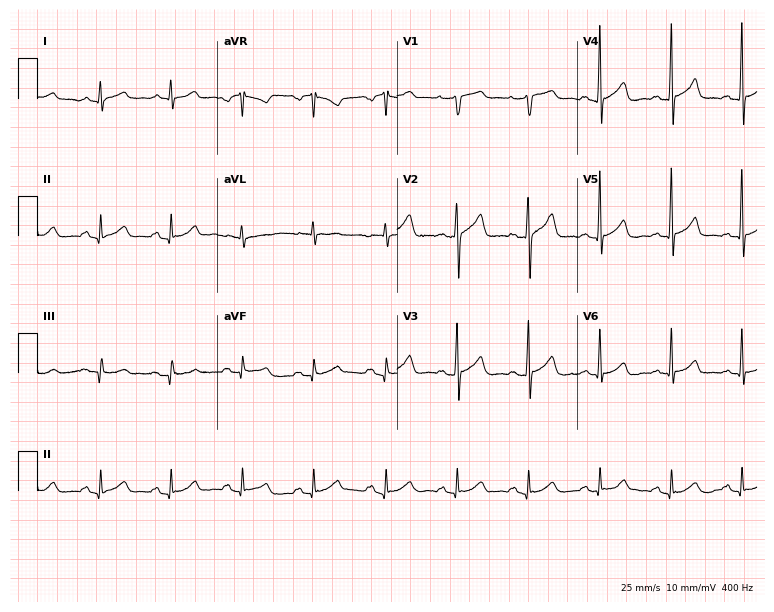
12-lead ECG (7.3-second recording at 400 Hz) from a male patient, 76 years old. Labelled as a normal ECG.